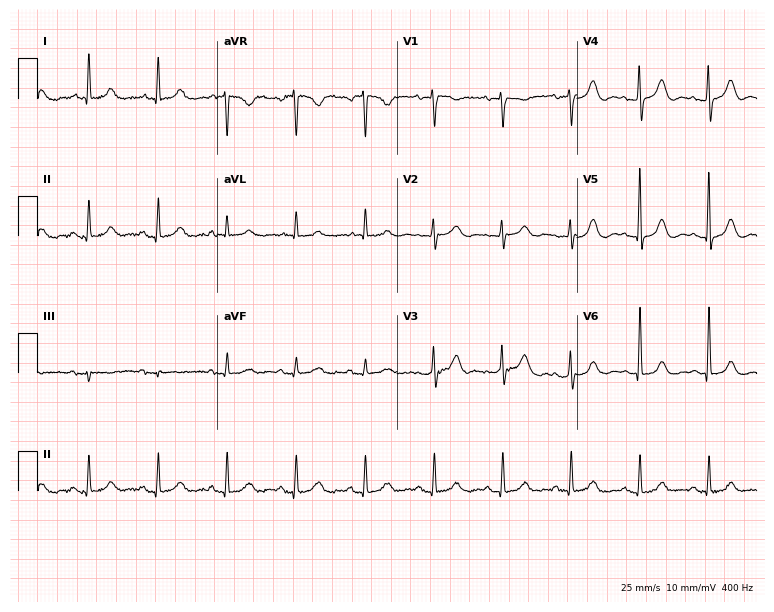
Standard 12-lead ECG recorded from a female, 85 years old (7.3-second recording at 400 Hz). None of these six findings is recorded: first-degree AV block, right bundle branch block, left bundle branch block, sinus bradycardia, atrial fibrillation, sinus tachycardia.